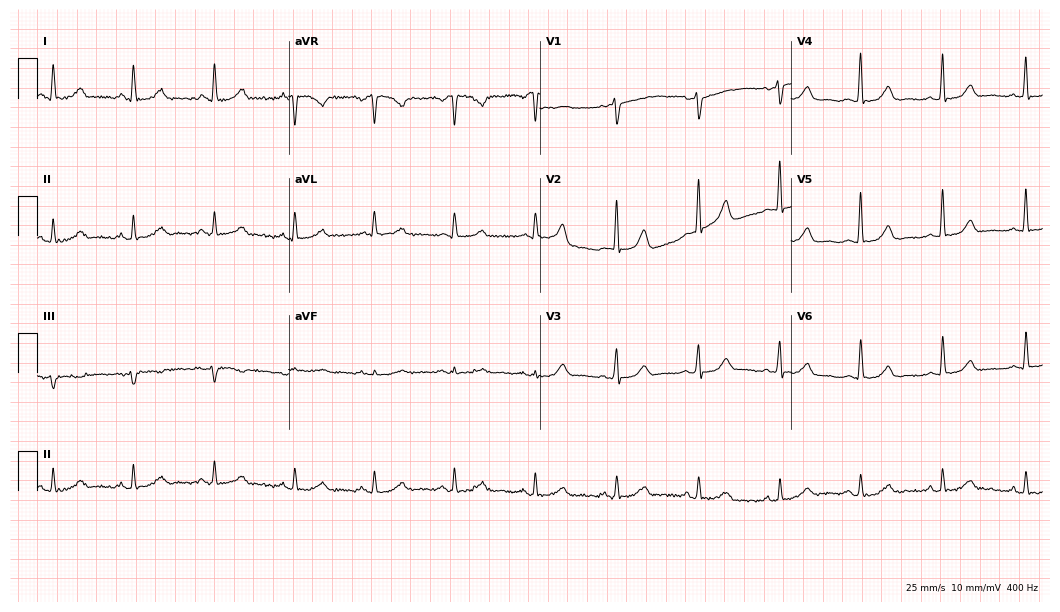
Electrocardiogram, a 54-year-old woman. Overall reading on record: normal ECG.